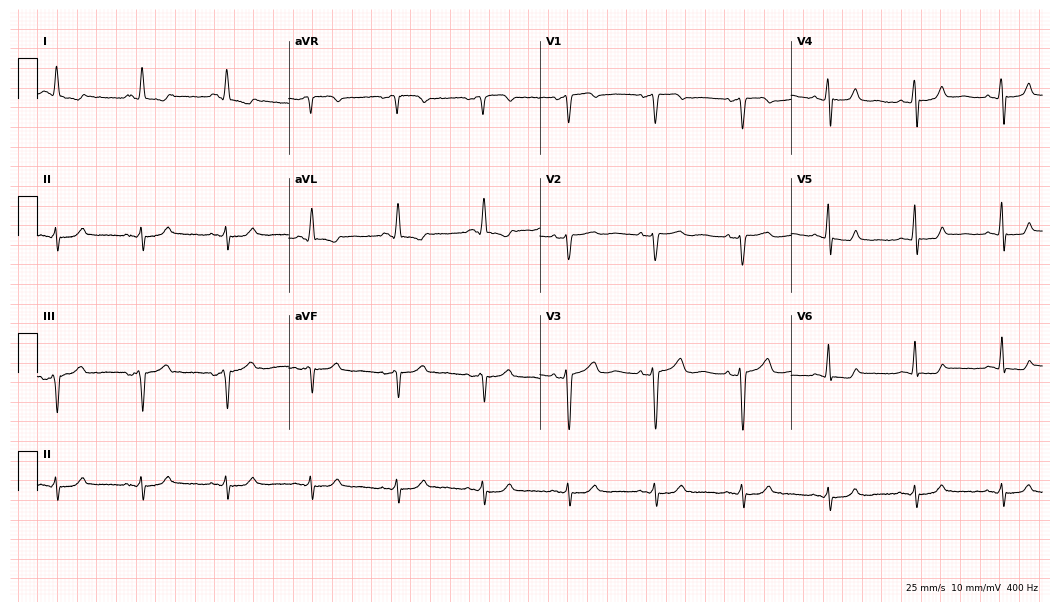
ECG (10.2-second recording at 400 Hz) — a female patient, 56 years old. Screened for six findings — first-degree AV block, right bundle branch block (RBBB), left bundle branch block (LBBB), sinus bradycardia, atrial fibrillation (AF), sinus tachycardia — none is recorded.